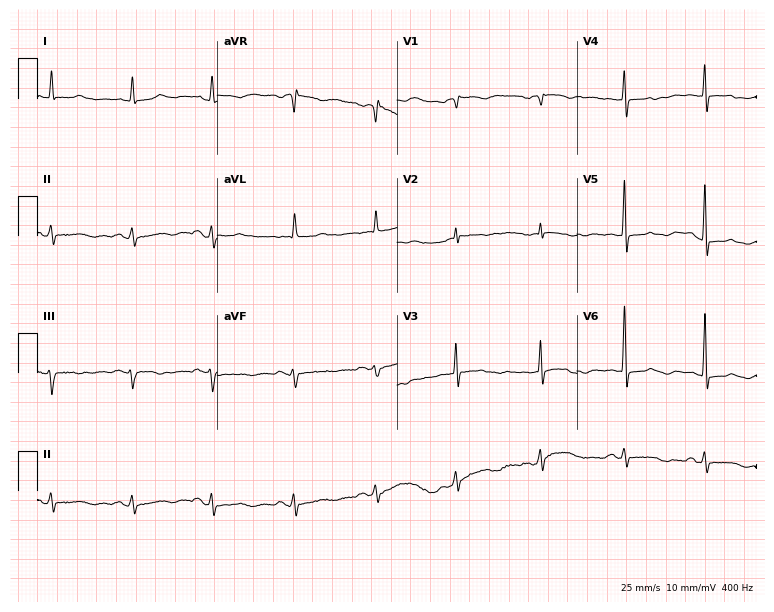
ECG (7.3-second recording at 400 Hz) — a woman, 84 years old. Screened for six findings — first-degree AV block, right bundle branch block, left bundle branch block, sinus bradycardia, atrial fibrillation, sinus tachycardia — none is recorded. Other findings, if any, are not listed.